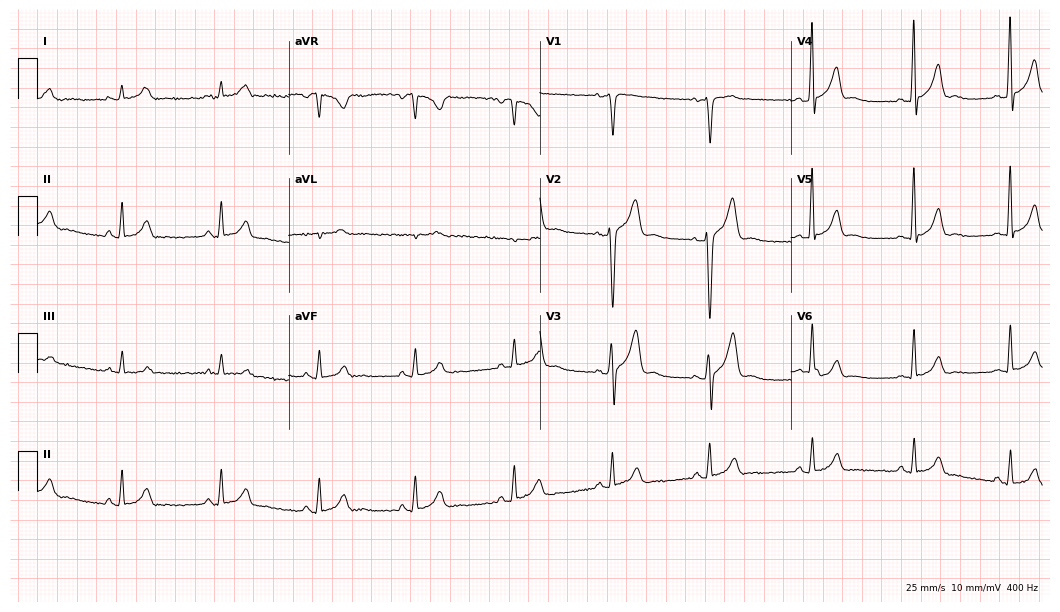
Resting 12-lead electrocardiogram (10.2-second recording at 400 Hz). Patient: a man, 29 years old. Read as a normal ECG.